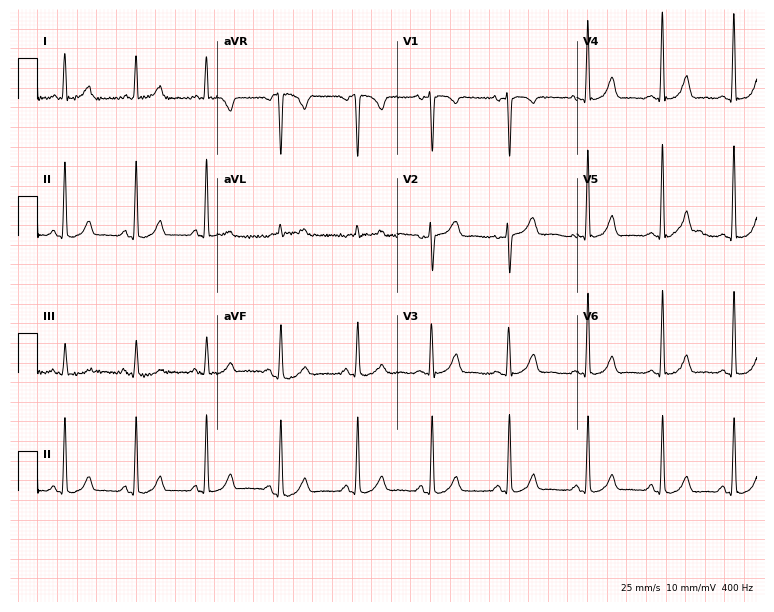
Resting 12-lead electrocardiogram (7.3-second recording at 400 Hz). Patient: a 31-year-old female. None of these six findings is recorded: first-degree AV block, right bundle branch block, left bundle branch block, sinus bradycardia, atrial fibrillation, sinus tachycardia.